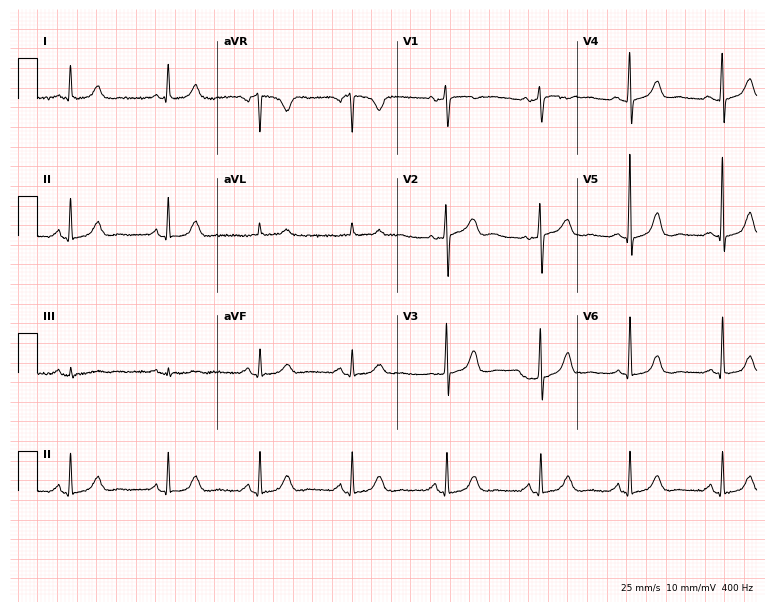
Standard 12-lead ECG recorded from an 81-year-old female patient. Read as a normal ECG.